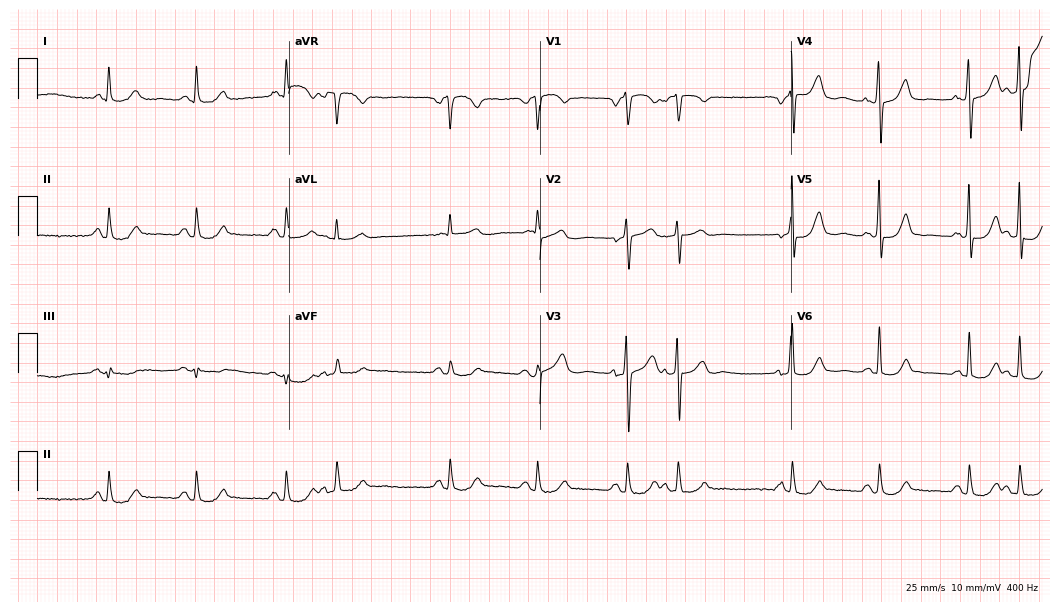
12-lead ECG from an 82-year-old man. Screened for six findings — first-degree AV block, right bundle branch block, left bundle branch block, sinus bradycardia, atrial fibrillation, sinus tachycardia — none is recorded.